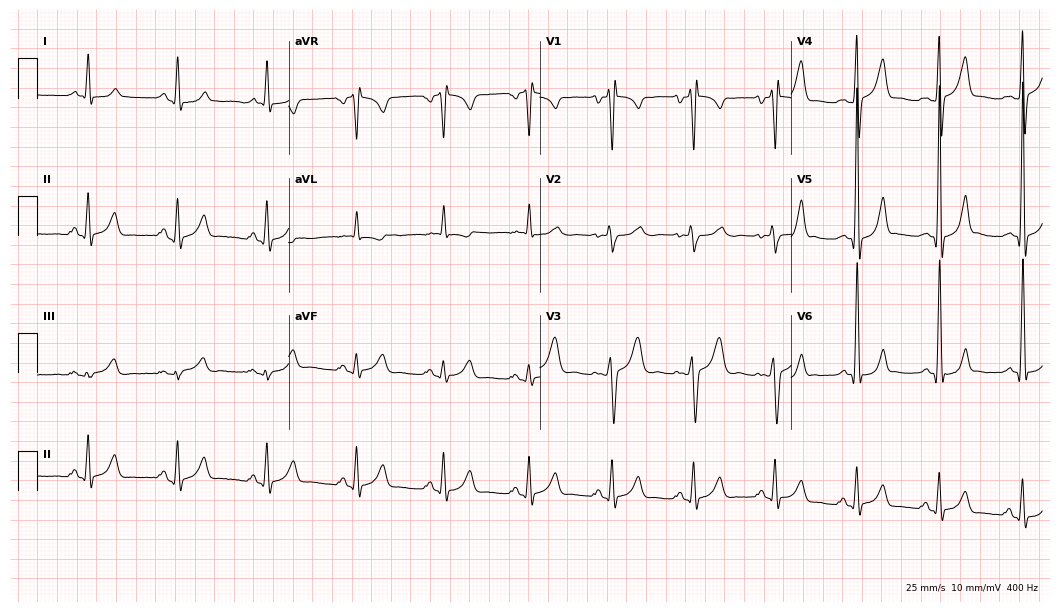
ECG — a male, 42 years old. Findings include right bundle branch block (RBBB).